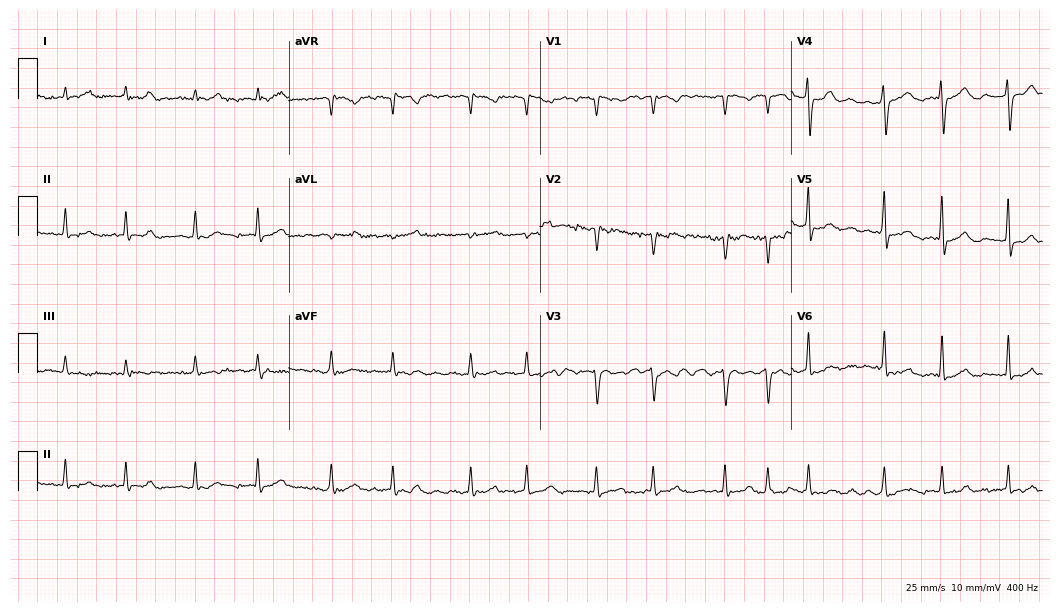
12-lead ECG from a 72-year-old female. Shows atrial fibrillation.